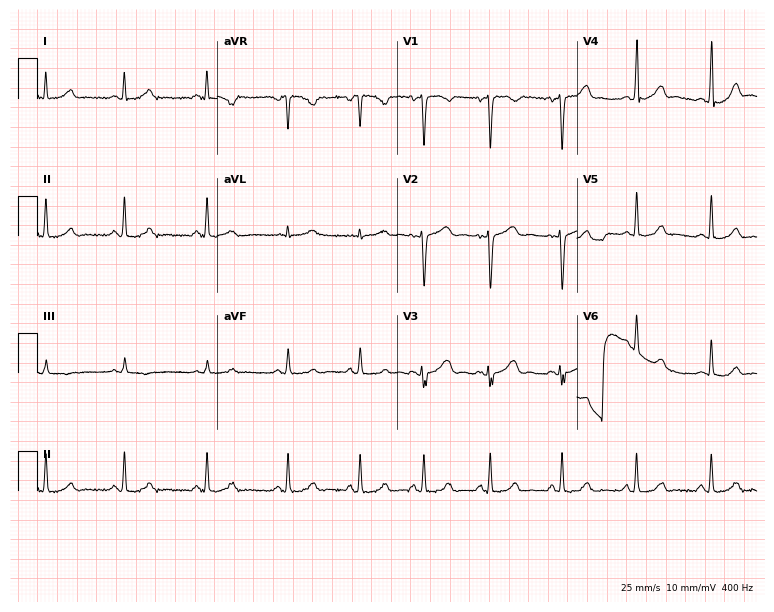
12-lead ECG from a woman, 30 years old. Recorded interpretation: within normal limits.